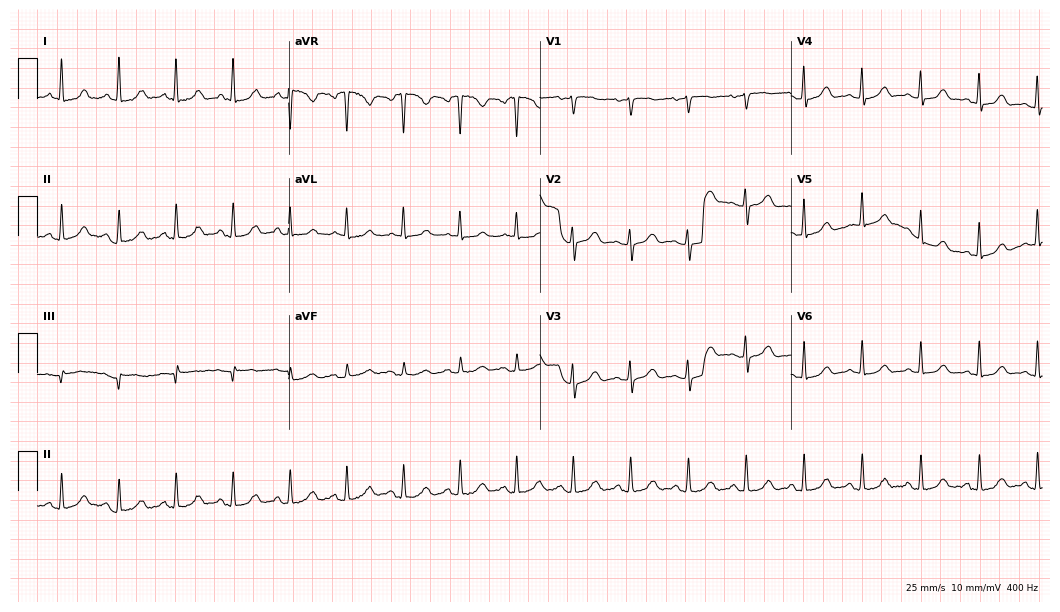
Resting 12-lead electrocardiogram (10.2-second recording at 400 Hz). Patient: a 62-year-old woman. The tracing shows sinus tachycardia (a sinus rate of 100 beats per minute or more).